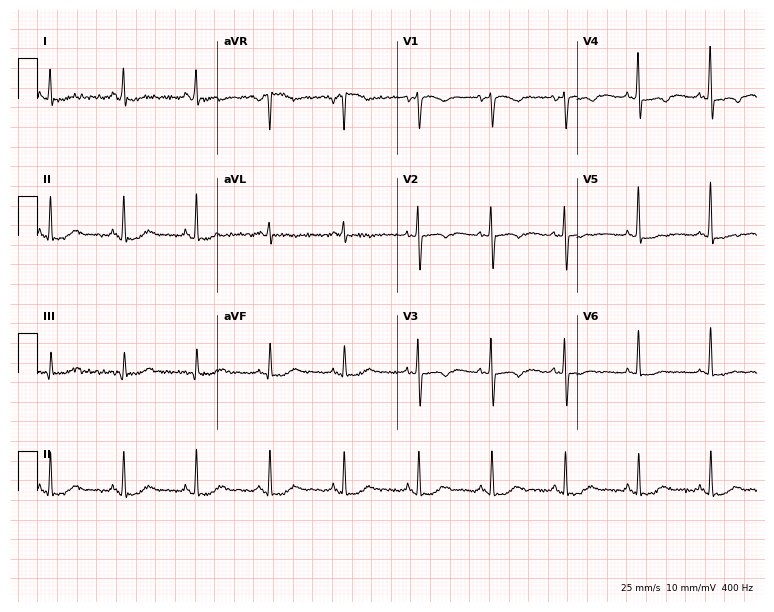
ECG — a female patient, 55 years old. Screened for six findings — first-degree AV block, right bundle branch block, left bundle branch block, sinus bradycardia, atrial fibrillation, sinus tachycardia — none is recorded. Only these six findings were labelled.